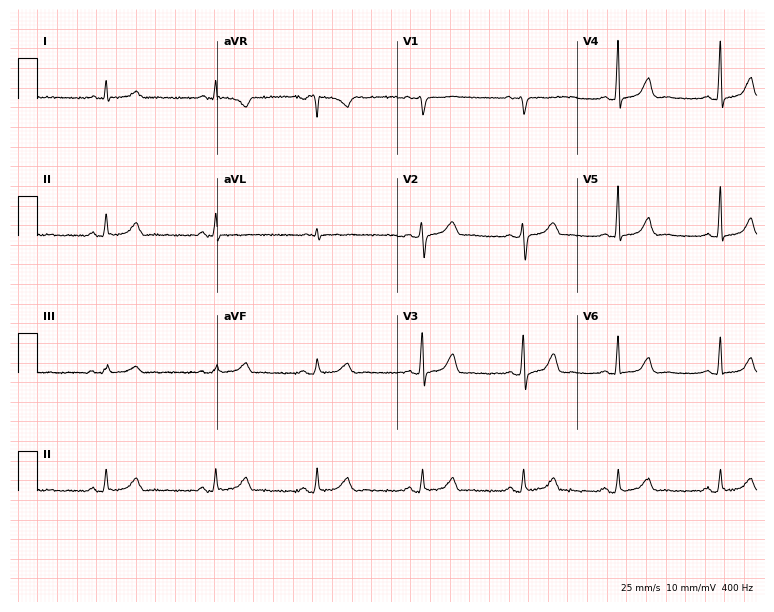
12-lead ECG from a 40-year-old female patient. Screened for six findings — first-degree AV block, right bundle branch block (RBBB), left bundle branch block (LBBB), sinus bradycardia, atrial fibrillation (AF), sinus tachycardia — none is recorded.